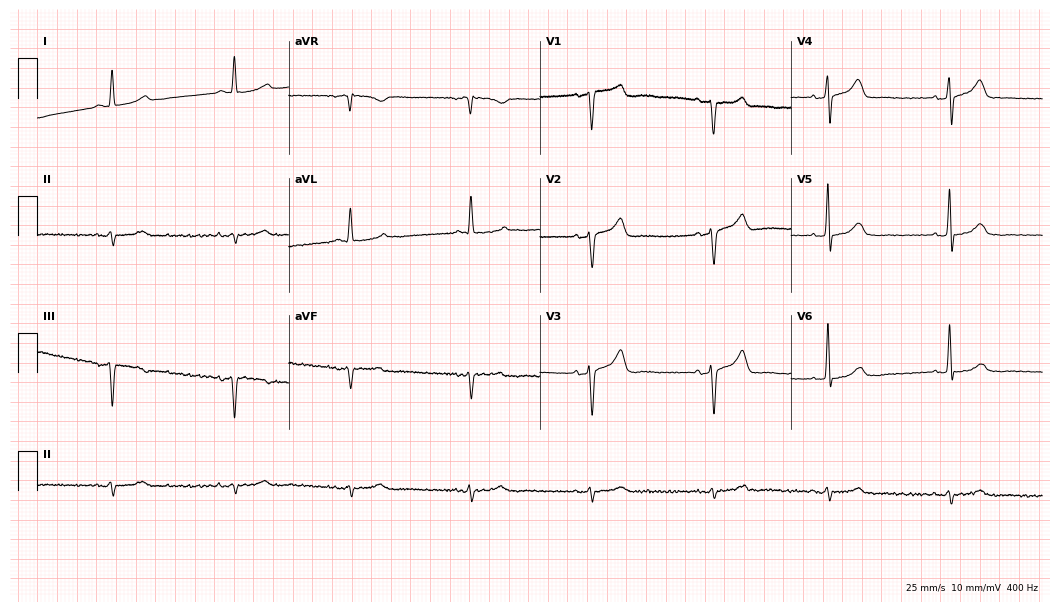
ECG — a woman, 81 years old. Screened for six findings — first-degree AV block, right bundle branch block, left bundle branch block, sinus bradycardia, atrial fibrillation, sinus tachycardia — none is recorded. Findings outside these six are not listed.